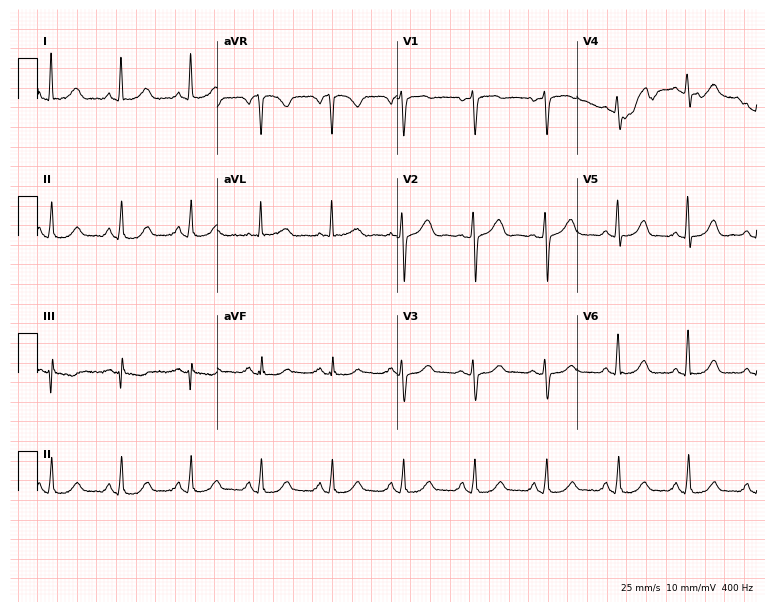
12-lead ECG from a 71-year-old woman. No first-degree AV block, right bundle branch block, left bundle branch block, sinus bradycardia, atrial fibrillation or sinus tachycardia recorded for this tracing. Only these six findings were labelled.